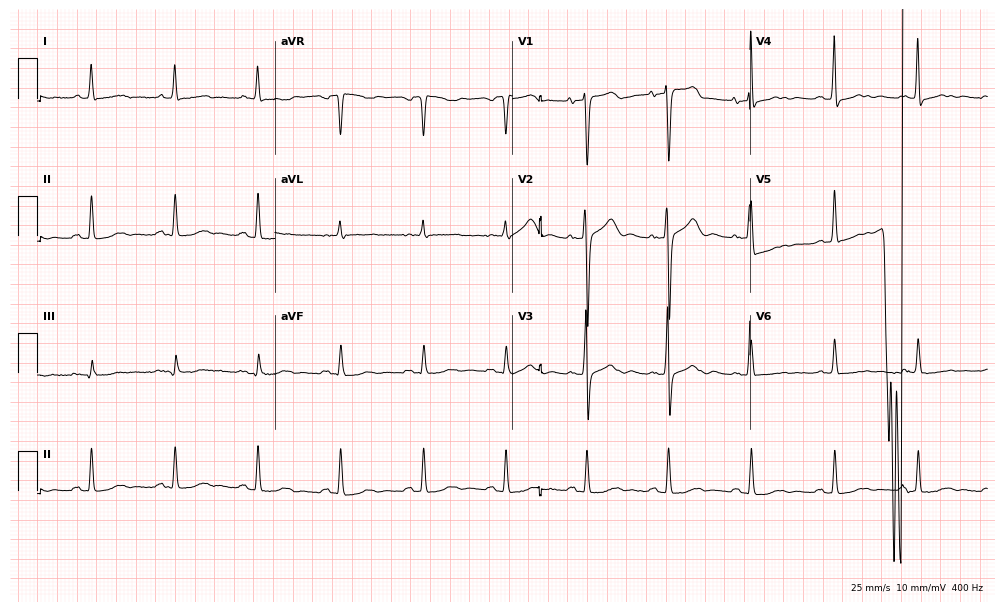
12-lead ECG from a 79-year-old woman. Screened for six findings — first-degree AV block, right bundle branch block, left bundle branch block, sinus bradycardia, atrial fibrillation, sinus tachycardia — none is recorded.